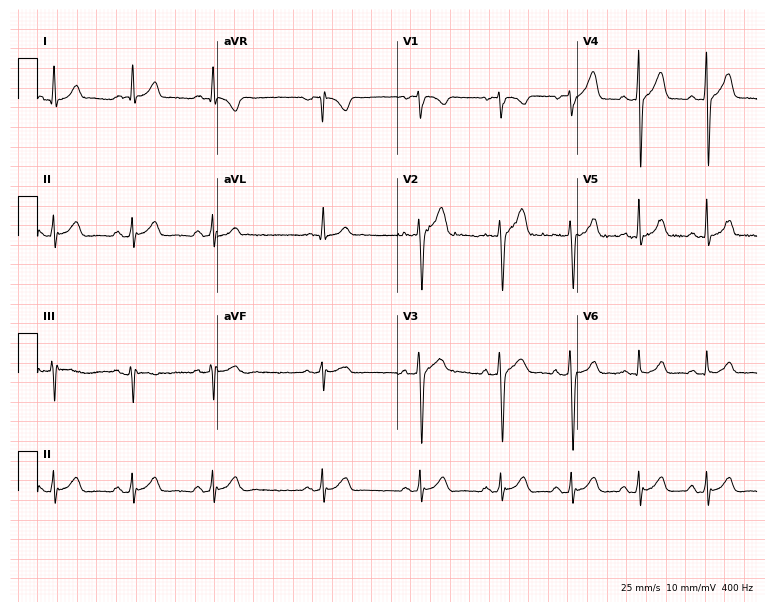
Resting 12-lead electrocardiogram. Patient: a male, 28 years old. None of these six findings is recorded: first-degree AV block, right bundle branch block (RBBB), left bundle branch block (LBBB), sinus bradycardia, atrial fibrillation (AF), sinus tachycardia. Only these six findings were labelled.